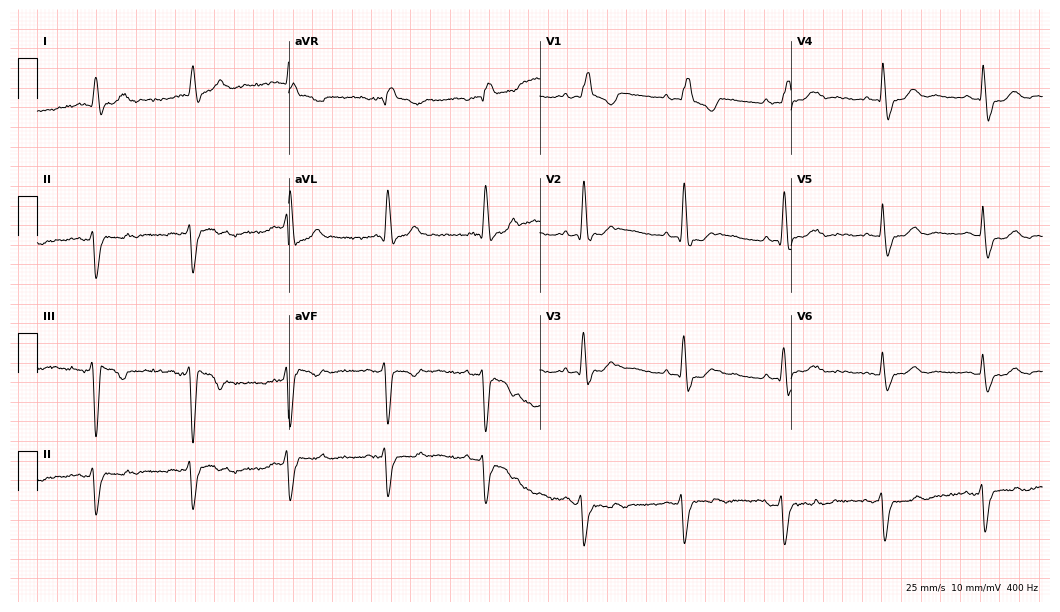
Electrocardiogram (10.2-second recording at 400 Hz), a 78-year-old man. Interpretation includes right bundle branch block.